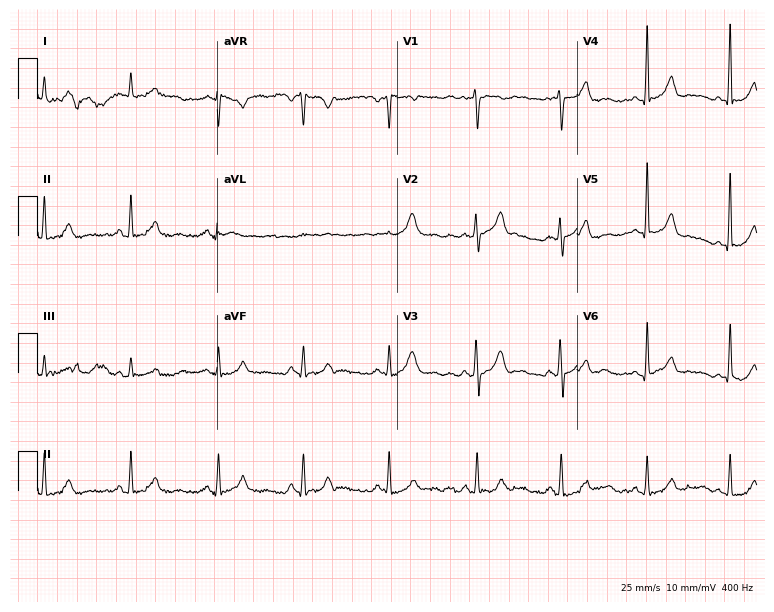
12-lead ECG (7.3-second recording at 400 Hz) from a 43-year-old female patient. Labelled as a normal ECG.